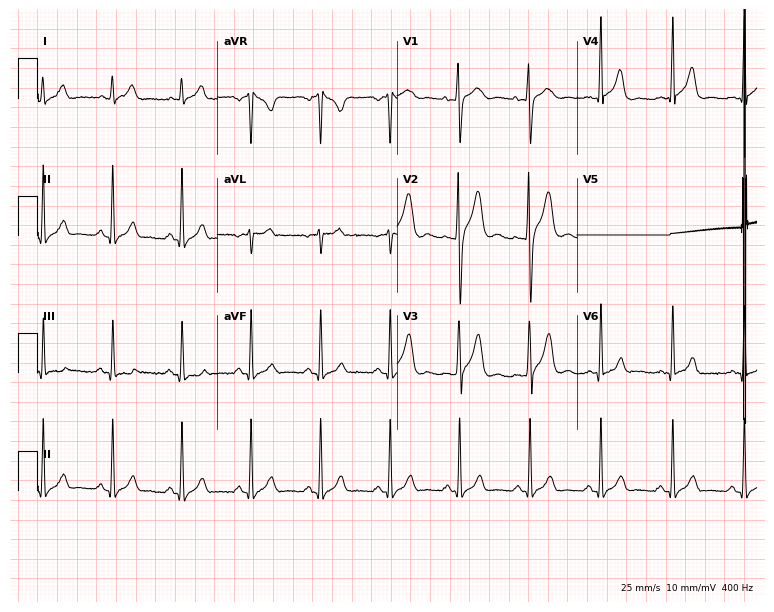
Resting 12-lead electrocardiogram (7.3-second recording at 400 Hz). Patient: a man, 22 years old. Read as a normal ECG.